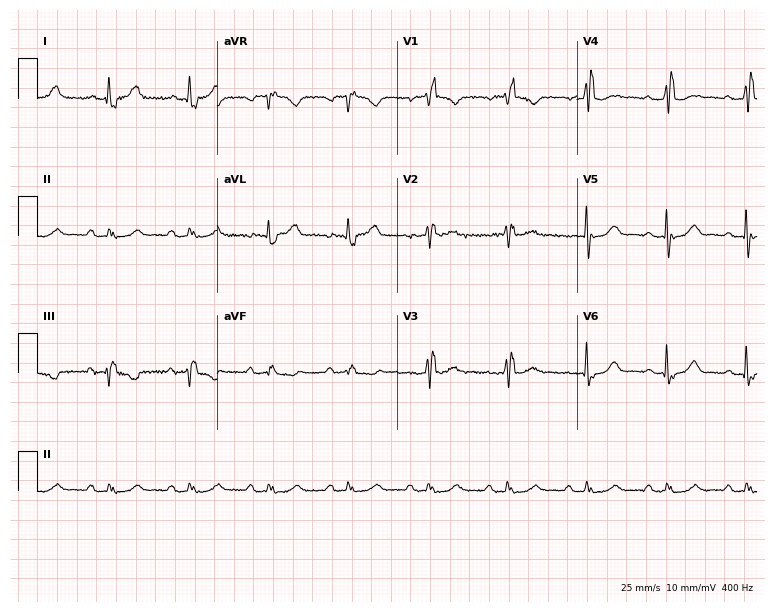
ECG — a 78-year-old female. Findings include right bundle branch block.